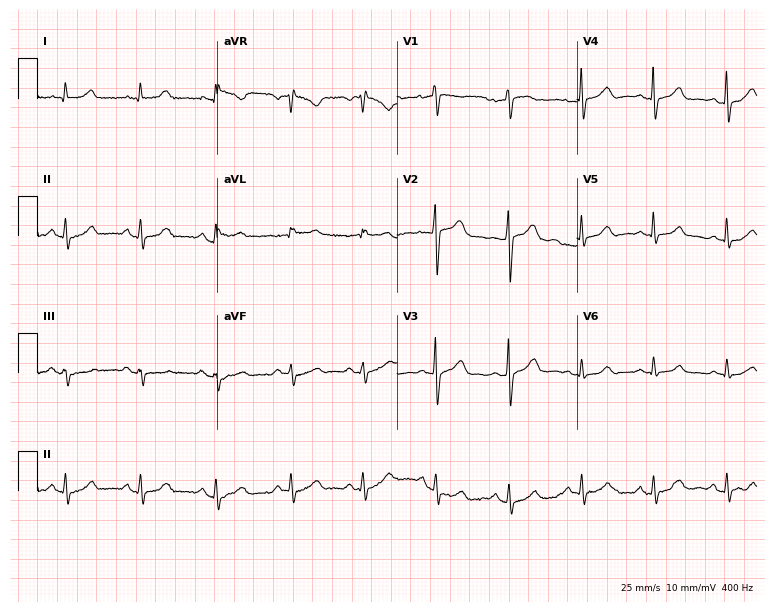
ECG (7.3-second recording at 400 Hz) — a woman, 59 years old. Labelled as a normal ECG.